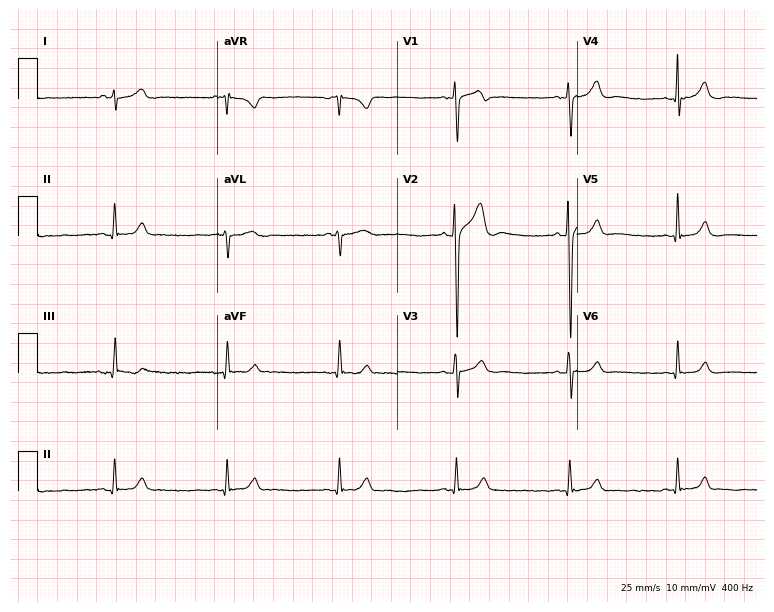
12-lead ECG from a 21-year-old male (7.3-second recording at 400 Hz). No first-degree AV block, right bundle branch block (RBBB), left bundle branch block (LBBB), sinus bradycardia, atrial fibrillation (AF) or sinus tachycardia recorded for this tracing. Findings outside these six are not listed.